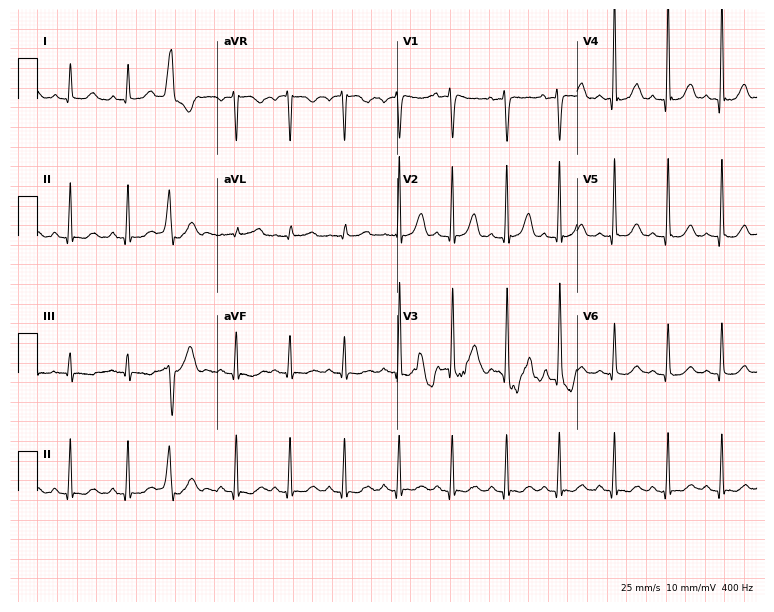
12-lead ECG from a 78-year-old female patient (7.3-second recording at 400 Hz). Shows sinus tachycardia (a sinus rate of 100 beats per minute or more).